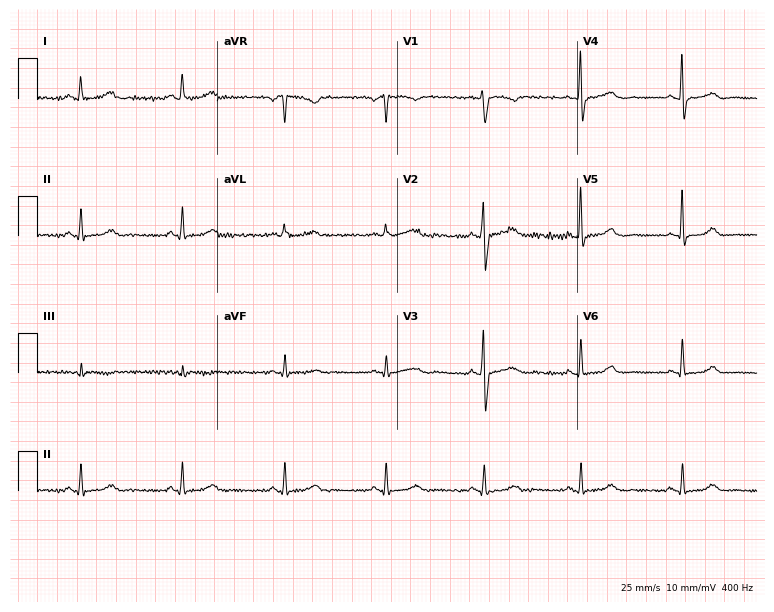
12-lead ECG (7.3-second recording at 400 Hz) from a woman, 39 years old. Screened for six findings — first-degree AV block, right bundle branch block, left bundle branch block, sinus bradycardia, atrial fibrillation, sinus tachycardia — none is recorded.